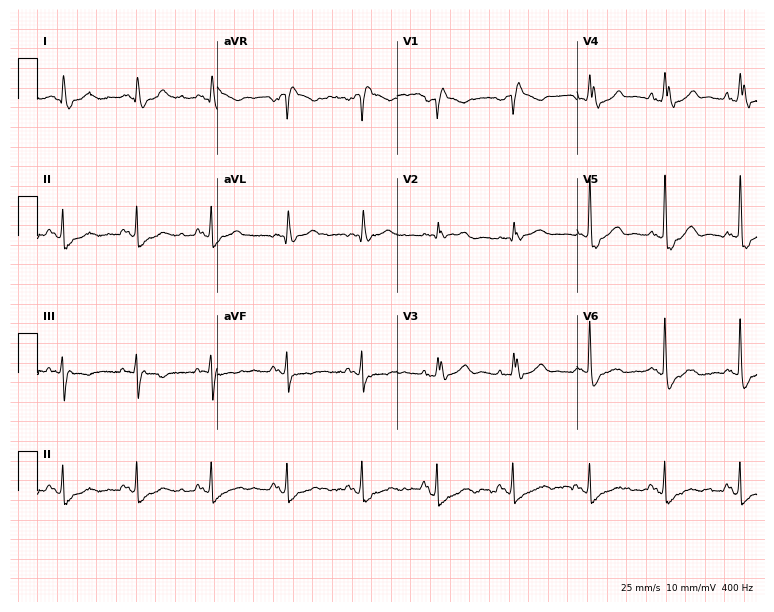
Standard 12-lead ECG recorded from an 84-year-old man (7.3-second recording at 400 Hz). The tracing shows right bundle branch block.